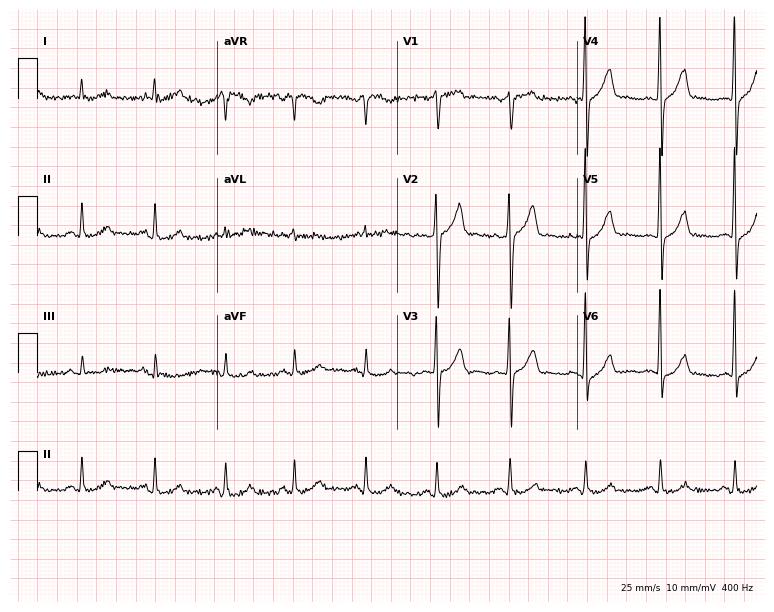
ECG — a man, 57 years old. Labelled as a normal ECG.